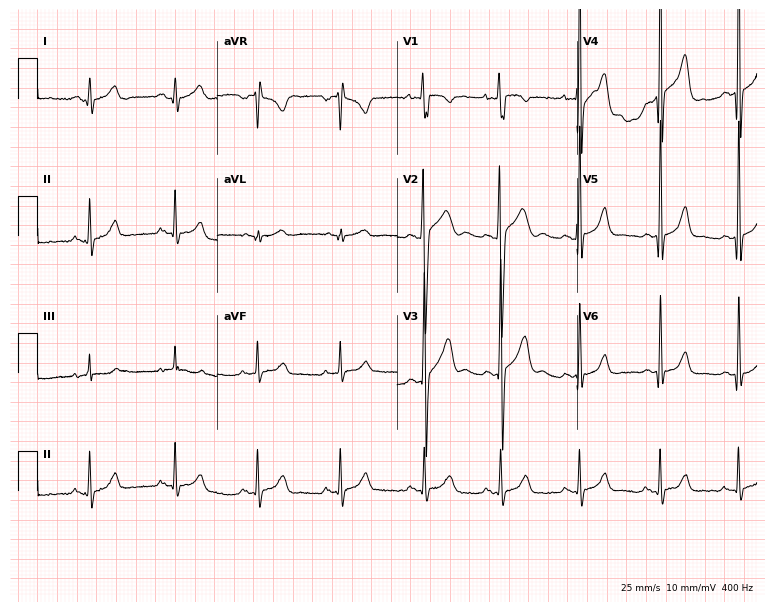
Resting 12-lead electrocardiogram (7.3-second recording at 400 Hz). Patient: a man, 19 years old. Read as a normal ECG.